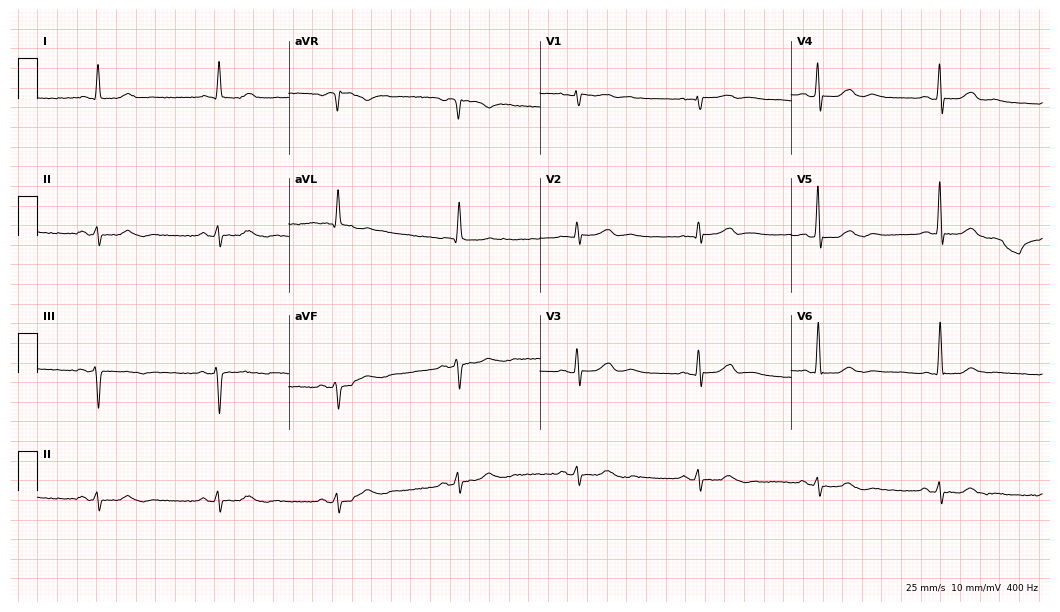
ECG — an 82-year-old male. Screened for six findings — first-degree AV block, right bundle branch block, left bundle branch block, sinus bradycardia, atrial fibrillation, sinus tachycardia — none is recorded.